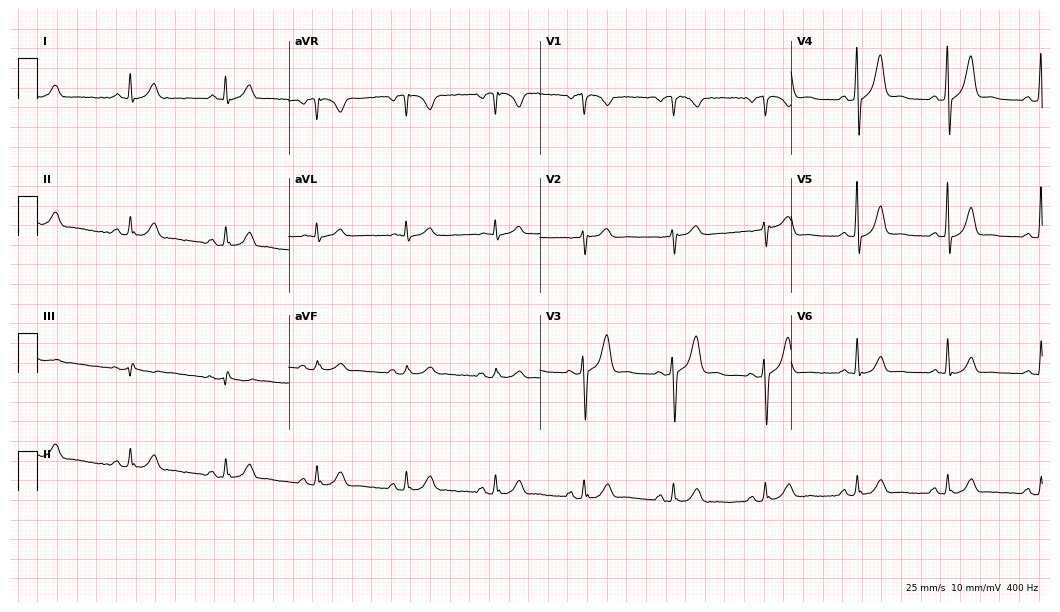
Electrocardiogram, a 41-year-old male. Of the six screened findings (first-degree AV block, right bundle branch block, left bundle branch block, sinus bradycardia, atrial fibrillation, sinus tachycardia), none is recorded.